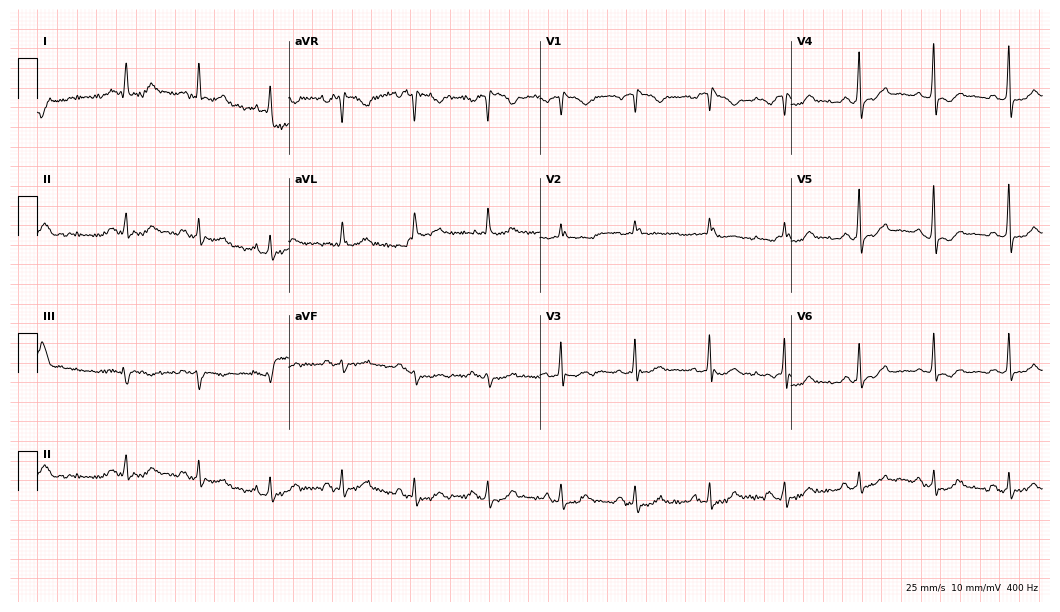
12-lead ECG from a male patient, 71 years old. No first-degree AV block, right bundle branch block, left bundle branch block, sinus bradycardia, atrial fibrillation or sinus tachycardia recorded for this tracing.